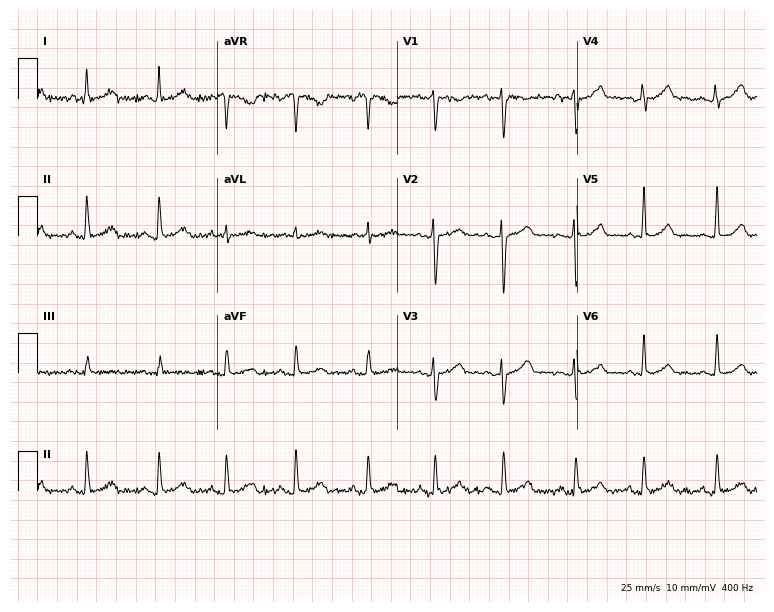
Resting 12-lead electrocardiogram (7.3-second recording at 400 Hz). Patient: a female, 33 years old. Read as a normal ECG.